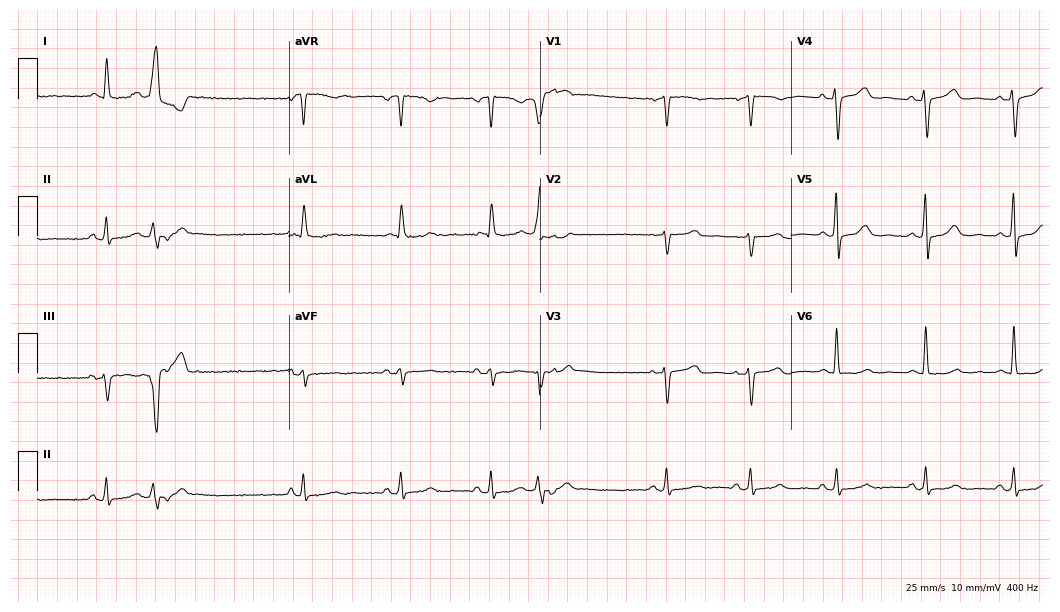
Resting 12-lead electrocardiogram (10.2-second recording at 400 Hz). Patient: a 76-year-old female. None of these six findings is recorded: first-degree AV block, right bundle branch block (RBBB), left bundle branch block (LBBB), sinus bradycardia, atrial fibrillation (AF), sinus tachycardia.